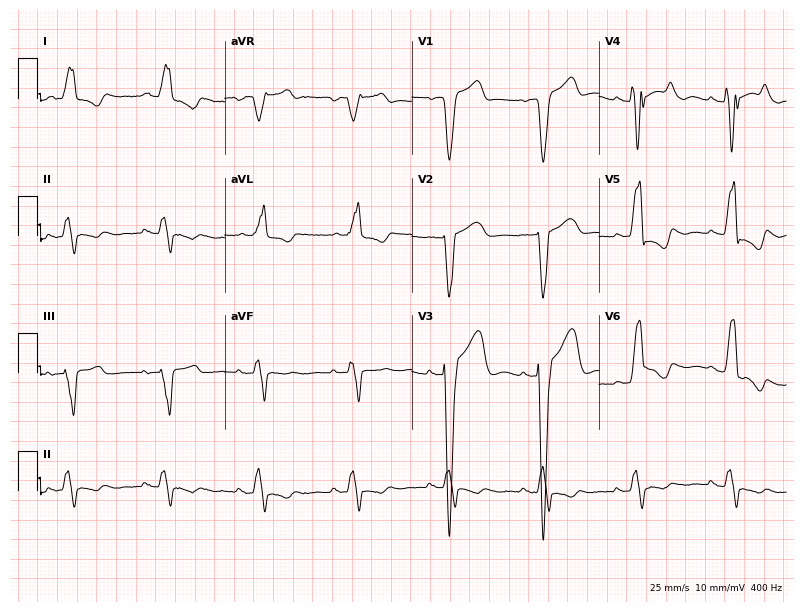
Standard 12-lead ECG recorded from a male, 71 years old (7.6-second recording at 400 Hz). The tracing shows left bundle branch block.